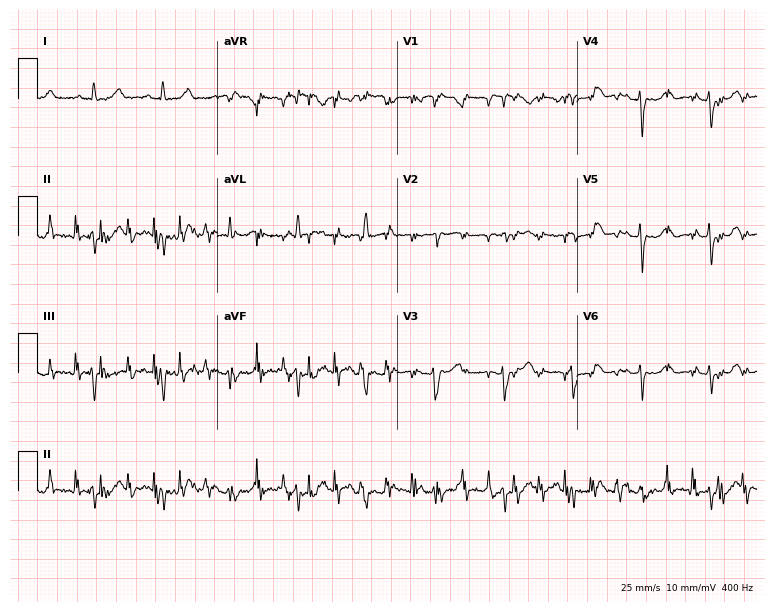
Electrocardiogram (7.3-second recording at 400 Hz), a woman, 74 years old. Of the six screened findings (first-degree AV block, right bundle branch block, left bundle branch block, sinus bradycardia, atrial fibrillation, sinus tachycardia), none is recorded.